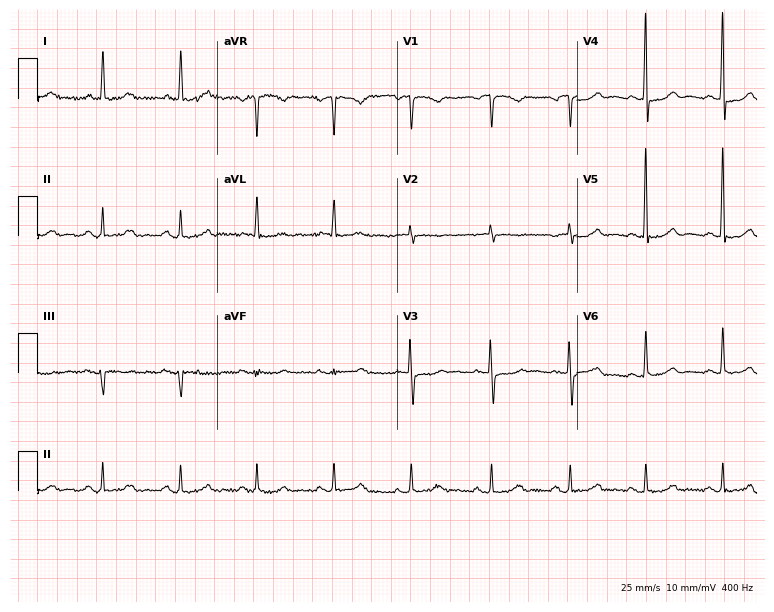
Resting 12-lead electrocardiogram (7.3-second recording at 400 Hz). Patient: a female, 80 years old. None of these six findings is recorded: first-degree AV block, right bundle branch block, left bundle branch block, sinus bradycardia, atrial fibrillation, sinus tachycardia. Other findings, if any, are not listed.